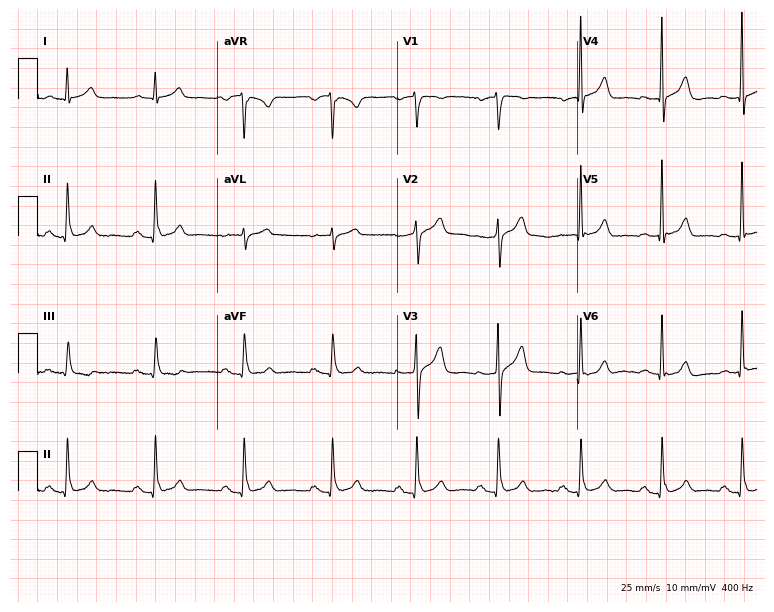
12-lead ECG from a 63-year-old man. Recorded interpretation: within normal limits.